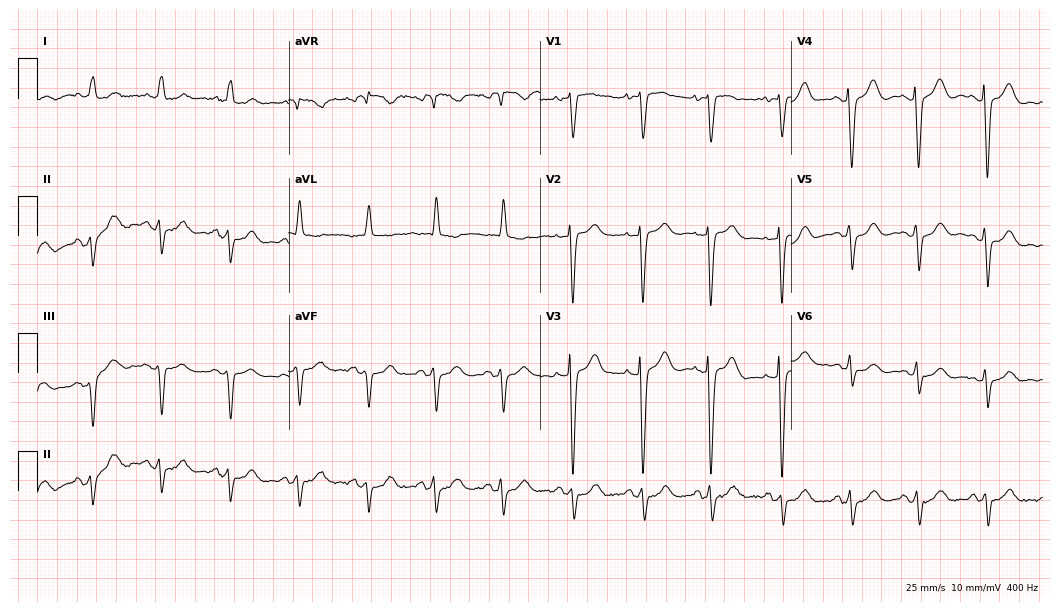
12-lead ECG from a 72-year-old female patient. No first-degree AV block, right bundle branch block, left bundle branch block, sinus bradycardia, atrial fibrillation or sinus tachycardia recorded for this tracing. Findings outside these six are not listed.